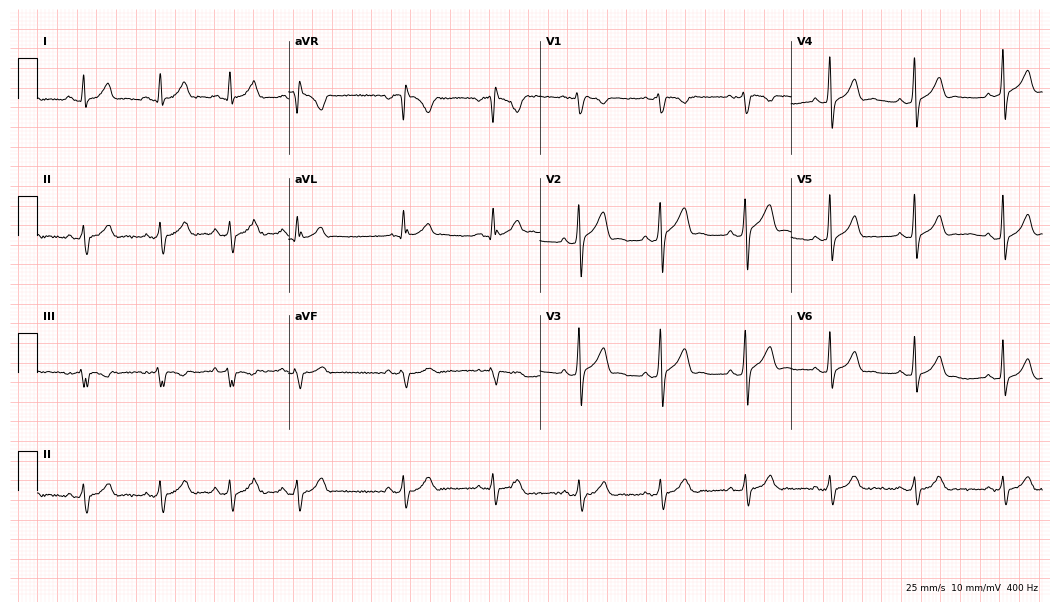
ECG — a 33-year-old male patient. Labelled as a normal ECG.